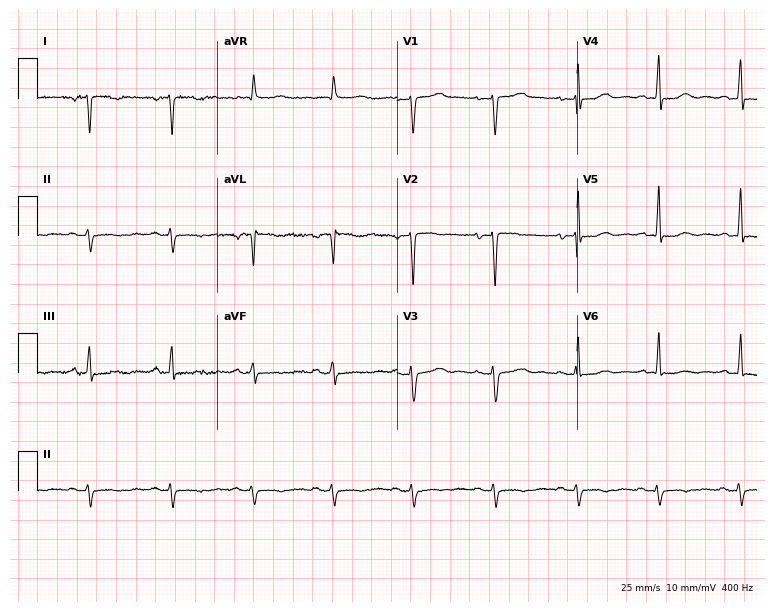
Resting 12-lead electrocardiogram (7.3-second recording at 400 Hz). Patient: a female, 49 years old. None of these six findings is recorded: first-degree AV block, right bundle branch block, left bundle branch block, sinus bradycardia, atrial fibrillation, sinus tachycardia.